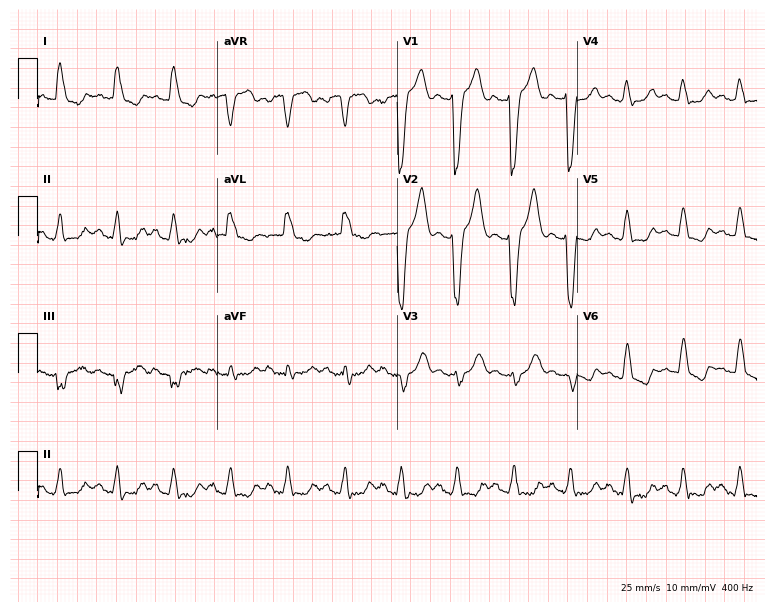
Electrocardiogram, an 84-year-old woman. Interpretation includes left bundle branch block (LBBB), sinus tachycardia (a sinus rate of 100 beats per minute or more).